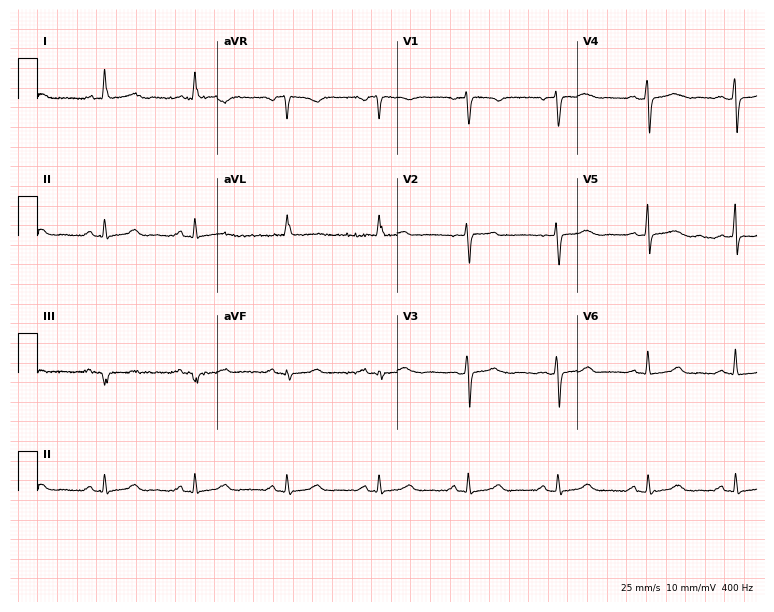
ECG — a female, 71 years old. Screened for six findings — first-degree AV block, right bundle branch block, left bundle branch block, sinus bradycardia, atrial fibrillation, sinus tachycardia — none is recorded. Only these six findings were labelled.